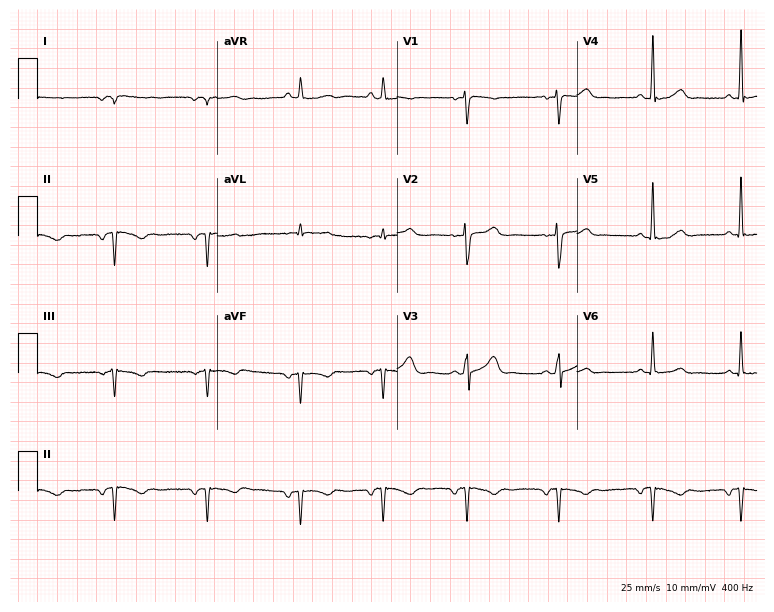
12-lead ECG from a 25-year-old female. Screened for six findings — first-degree AV block, right bundle branch block, left bundle branch block, sinus bradycardia, atrial fibrillation, sinus tachycardia — none is recorded.